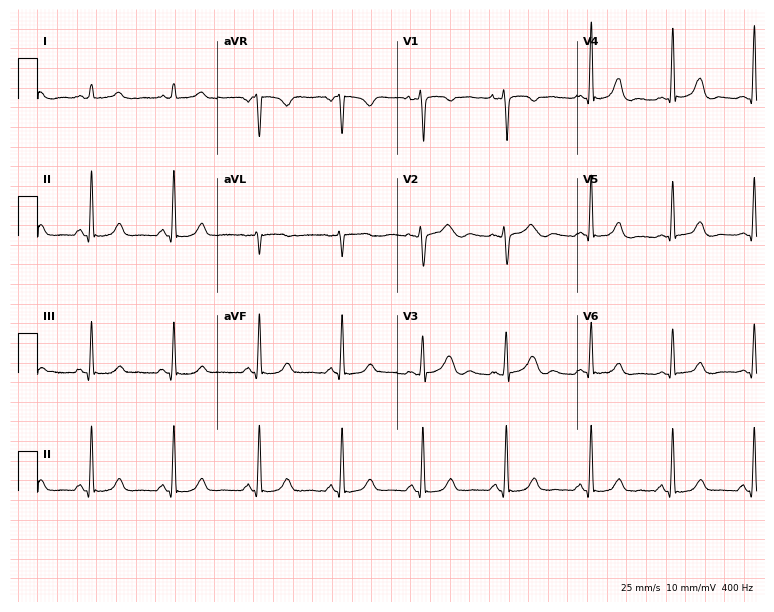
Electrocardiogram (7.3-second recording at 400 Hz), a female, 28 years old. Of the six screened findings (first-degree AV block, right bundle branch block, left bundle branch block, sinus bradycardia, atrial fibrillation, sinus tachycardia), none is recorded. Only these six findings were labelled.